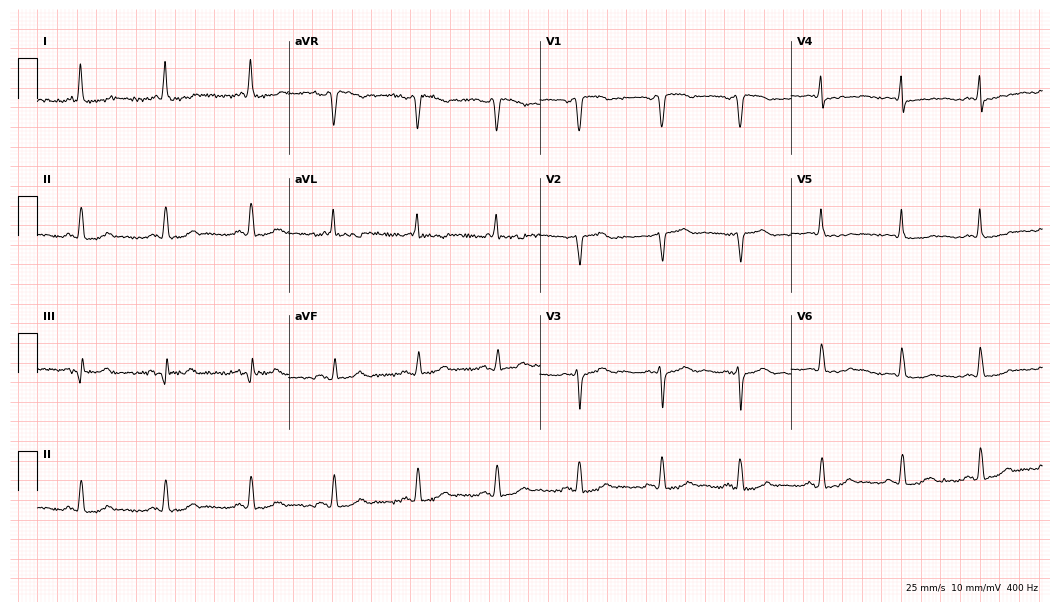
12-lead ECG from a 66-year-old female patient. No first-degree AV block, right bundle branch block, left bundle branch block, sinus bradycardia, atrial fibrillation or sinus tachycardia recorded for this tracing. Other findings, if any, are not listed.